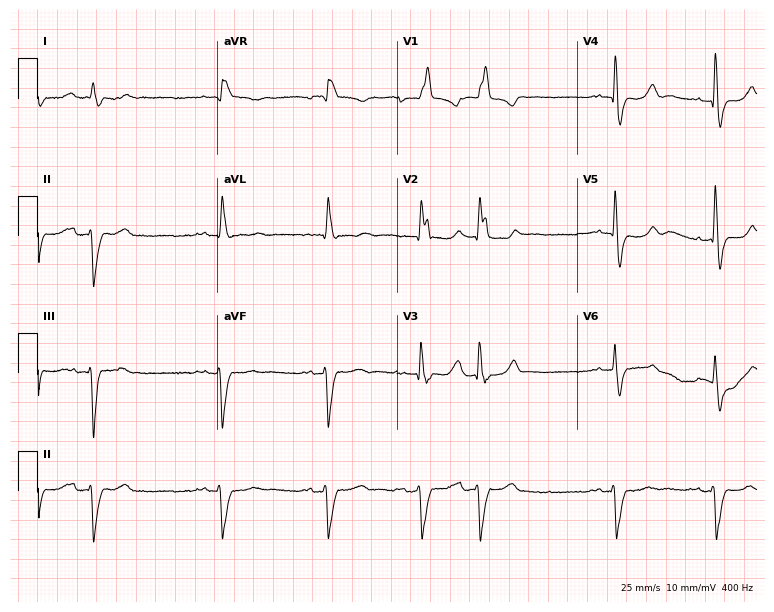
12-lead ECG from an 85-year-old male (7.3-second recording at 400 Hz). Shows right bundle branch block.